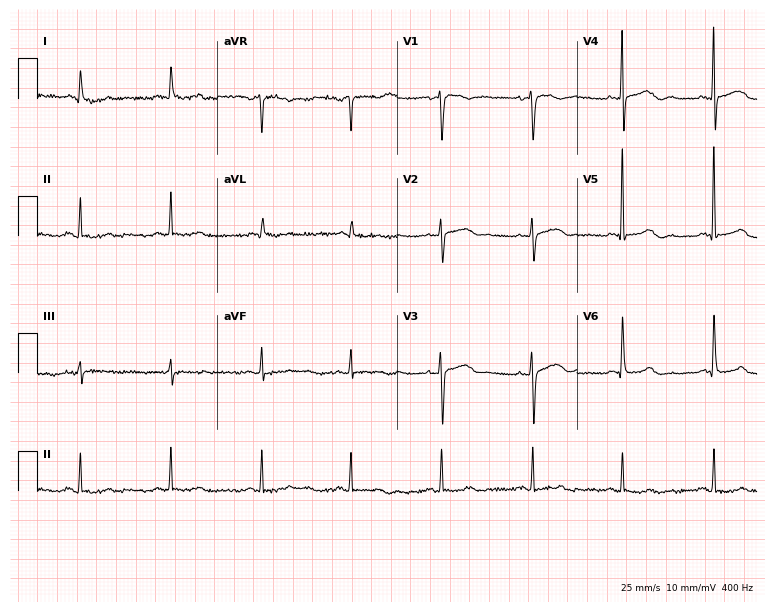
12-lead ECG from a male, 66 years old (7.3-second recording at 400 Hz). No first-degree AV block, right bundle branch block, left bundle branch block, sinus bradycardia, atrial fibrillation or sinus tachycardia recorded for this tracing.